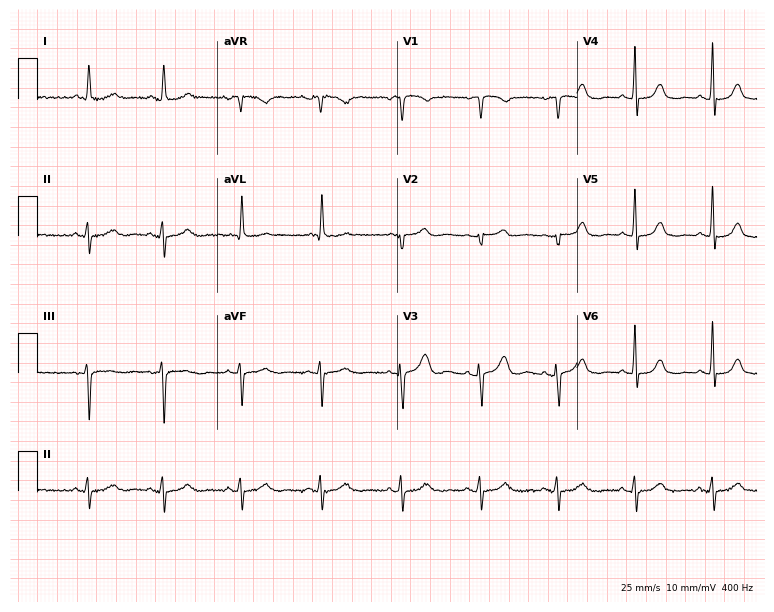
Electrocardiogram (7.3-second recording at 400 Hz), a female patient, 77 years old. Of the six screened findings (first-degree AV block, right bundle branch block (RBBB), left bundle branch block (LBBB), sinus bradycardia, atrial fibrillation (AF), sinus tachycardia), none is recorded.